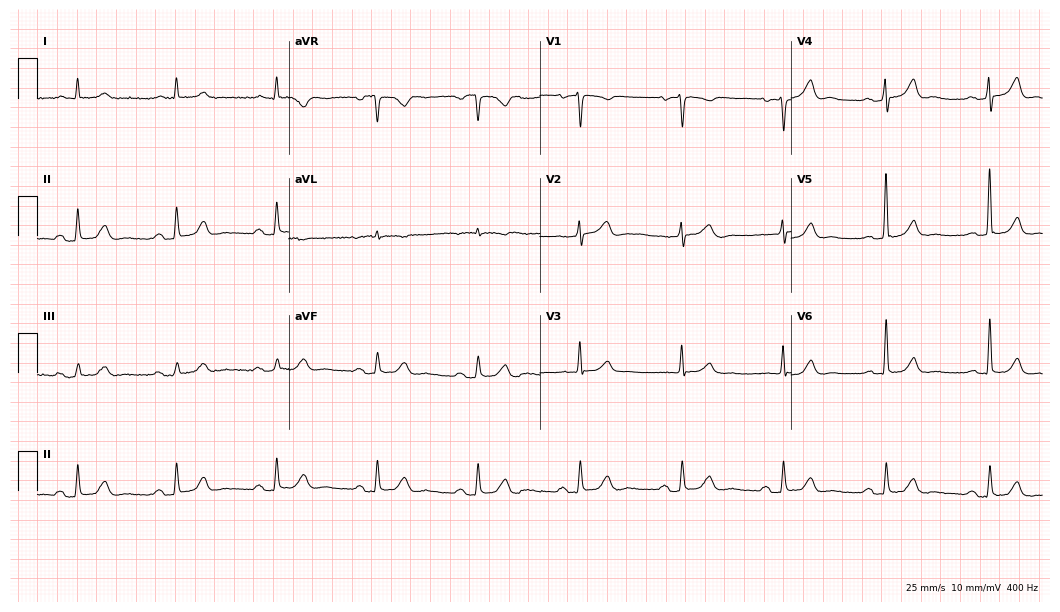
12-lead ECG from a female, 77 years old. Screened for six findings — first-degree AV block, right bundle branch block, left bundle branch block, sinus bradycardia, atrial fibrillation, sinus tachycardia — none is recorded.